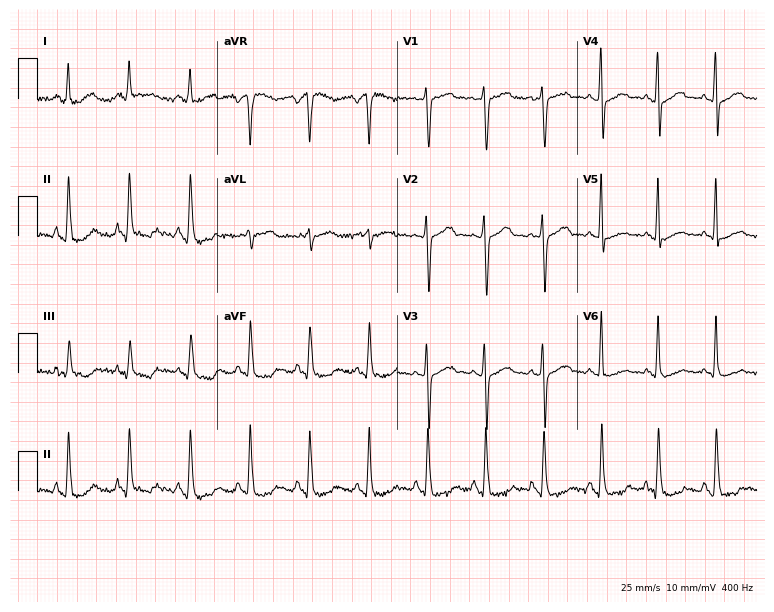
ECG (7.3-second recording at 400 Hz) — a 47-year-old female. Findings include sinus tachycardia (a sinus rate of 100 beats per minute or more).